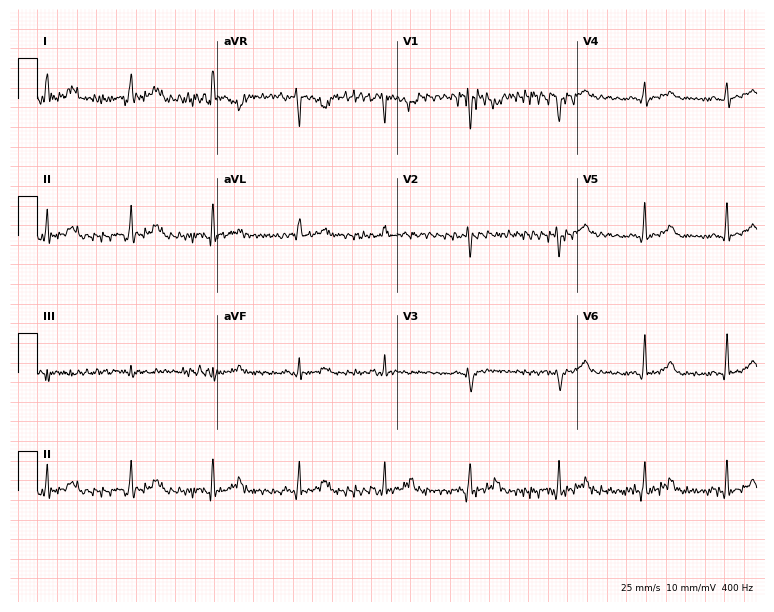
Standard 12-lead ECG recorded from a female, 26 years old (7.3-second recording at 400 Hz). Read as a normal ECG.